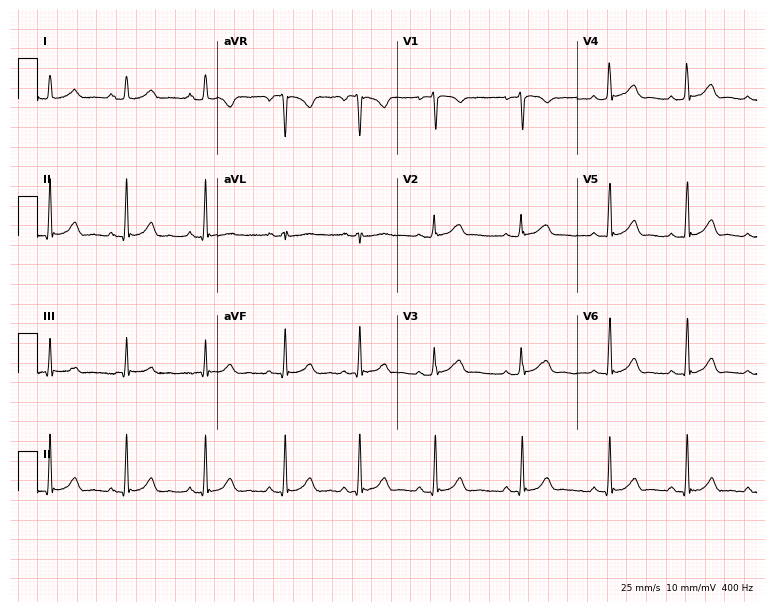
12-lead ECG from a 20-year-old woman (7.3-second recording at 400 Hz). Recorded interpretation: within normal limits.